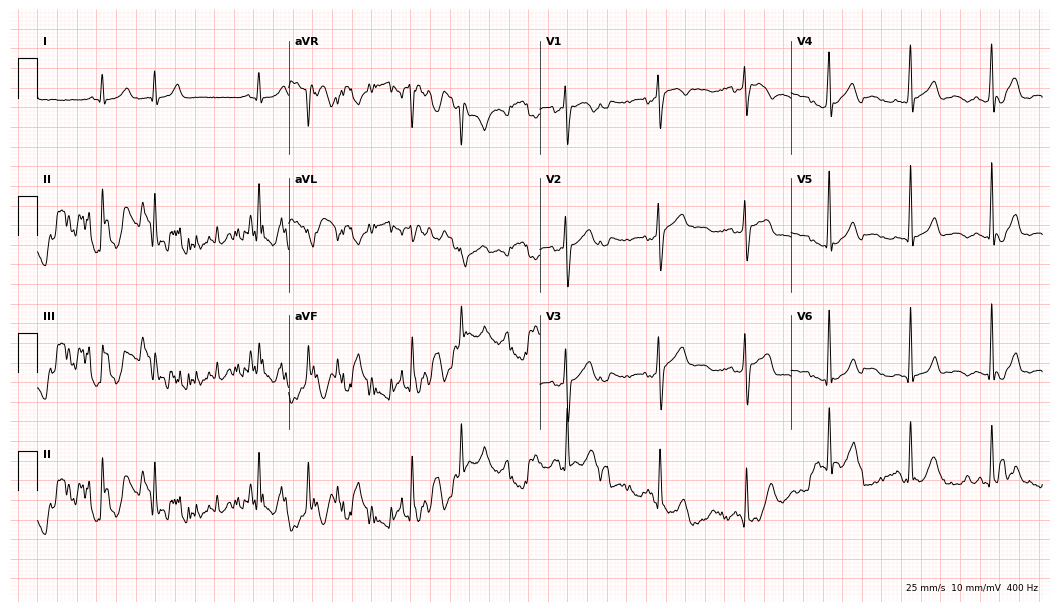
Resting 12-lead electrocardiogram. Patient: a male, 51 years old. None of these six findings is recorded: first-degree AV block, right bundle branch block, left bundle branch block, sinus bradycardia, atrial fibrillation, sinus tachycardia. Only these six findings were labelled.